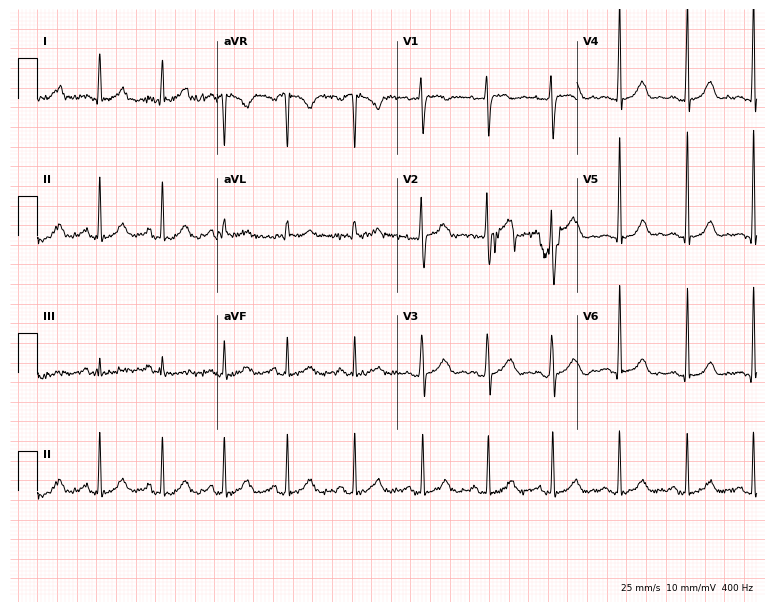
Electrocardiogram (7.3-second recording at 400 Hz), a female patient, 43 years old. Overall reading on record: normal ECG.